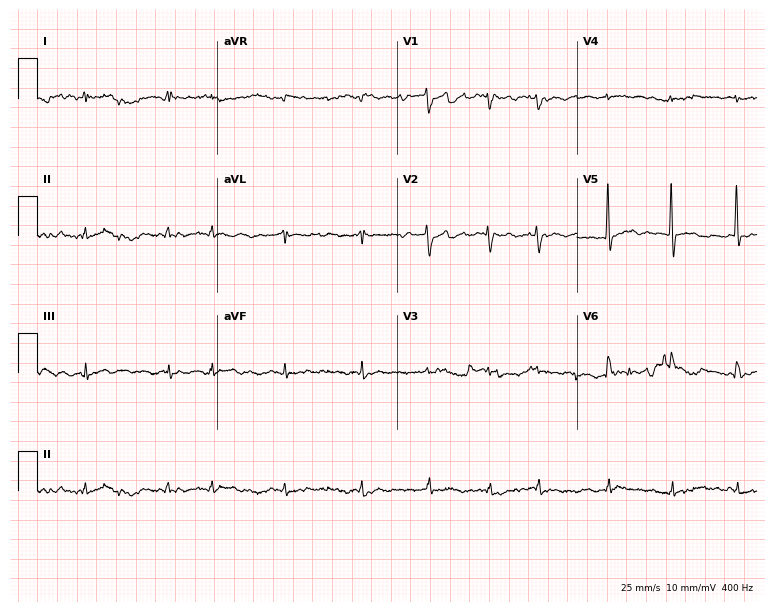
12-lead ECG from a 77-year-old female. Screened for six findings — first-degree AV block, right bundle branch block, left bundle branch block, sinus bradycardia, atrial fibrillation, sinus tachycardia — none is recorded. Findings outside these six are not listed.